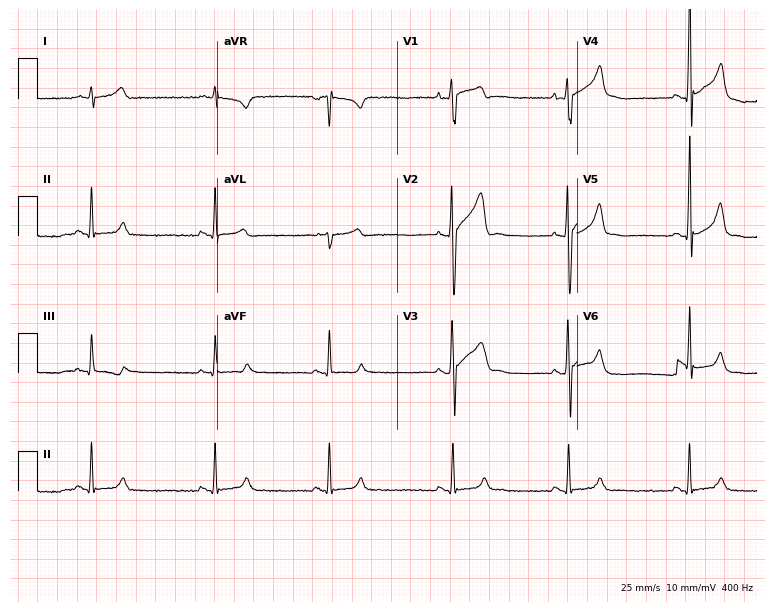
Standard 12-lead ECG recorded from a male patient, 23 years old (7.3-second recording at 400 Hz). None of these six findings is recorded: first-degree AV block, right bundle branch block, left bundle branch block, sinus bradycardia, atrial fibrillation, sinus tachycardia.